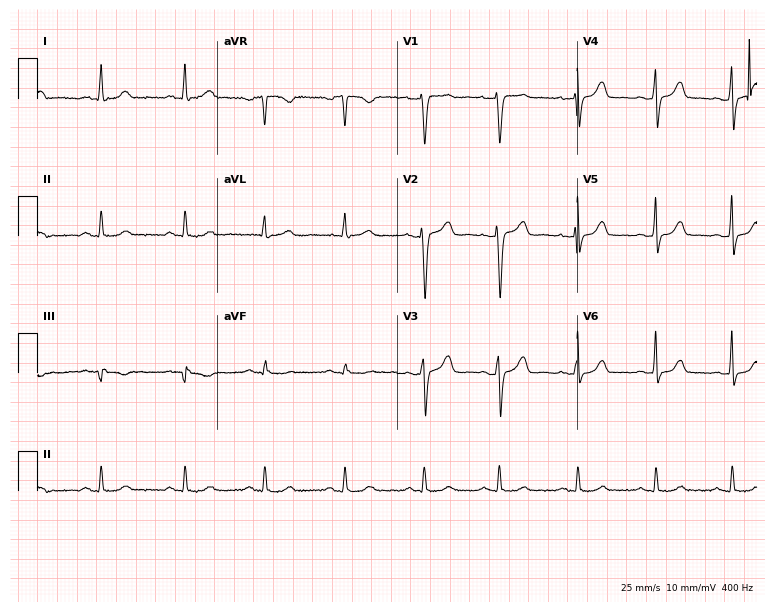
ECG (7.3-second recording at 400 Hz) — a 48-year-old woman. Labelled as a normal ECG.